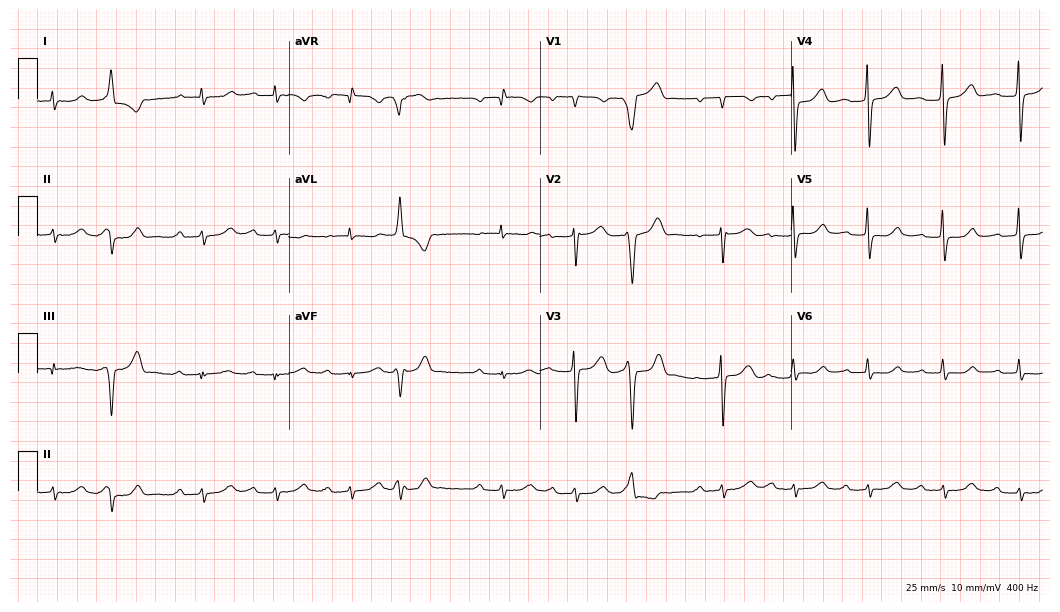
ECG (10.2-second recording at 400 Hz) — a 70-year-old man. Screened for six findings — first-degree AV block, right bundle branch block, left bundle branch block, sinus bradycardia, atrial fibrillation, sinus tachycardia — none is recorded. Only these six findings were labelled.